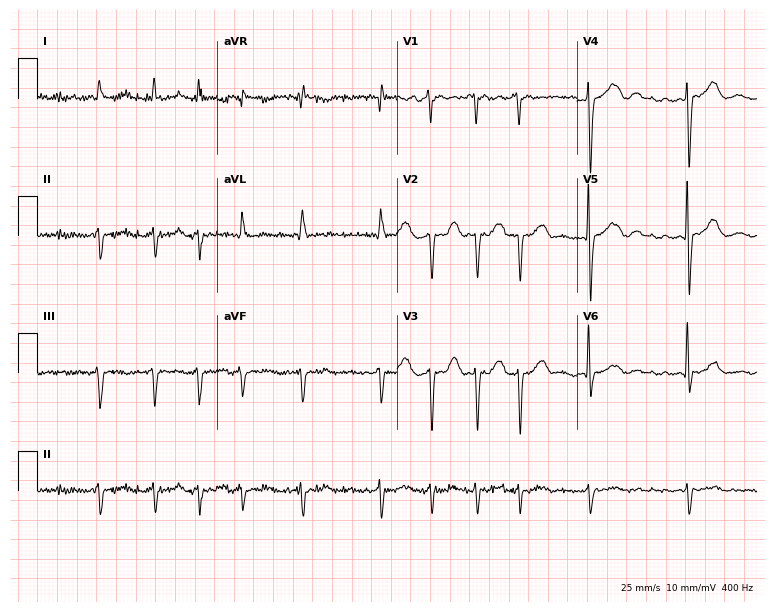
Standard 12-lead ECG recorded from an 83-year-old male patient (7.3-second recording at 400 Hz). The tracing shows atrial fibrillation.